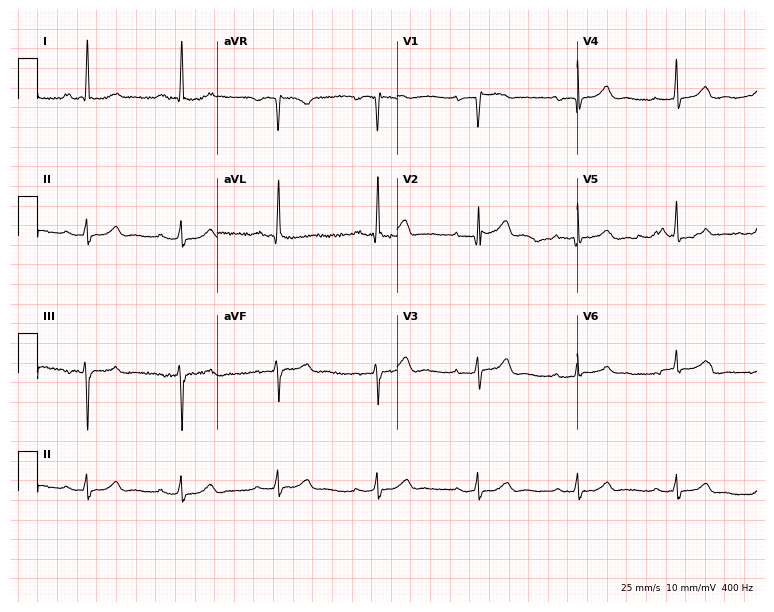
12-lead ECG from a female, 53 years old. Findings include first-degree AV block.